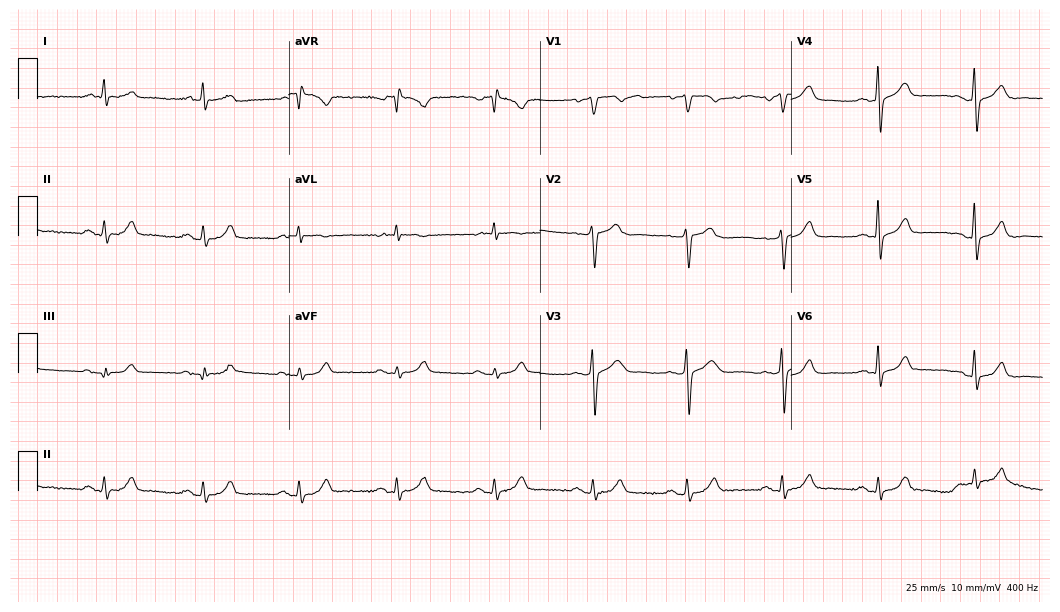
ECG (10.2-second recording at 400 Hz) — a male, 69 years old. Labelled as a normal ECG.